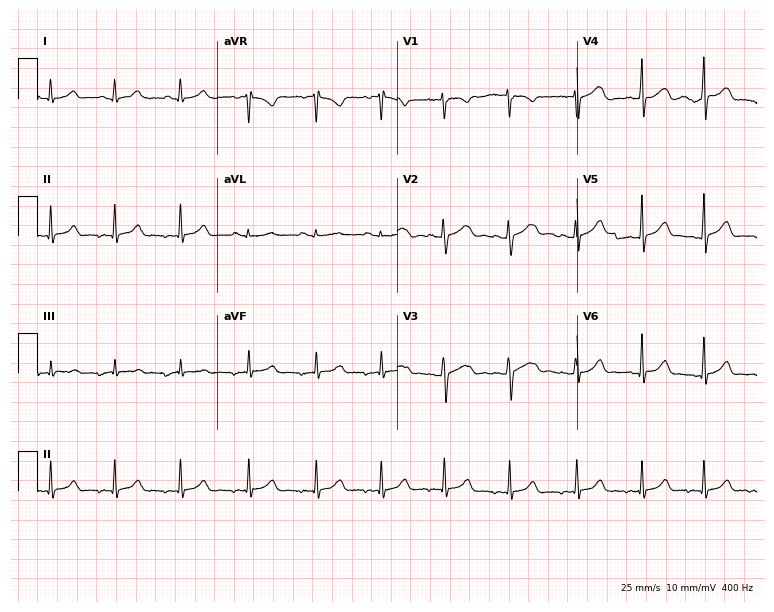
Electrocardiogram, a female patient, 17 years old. Overall reading on record: normal ECG.